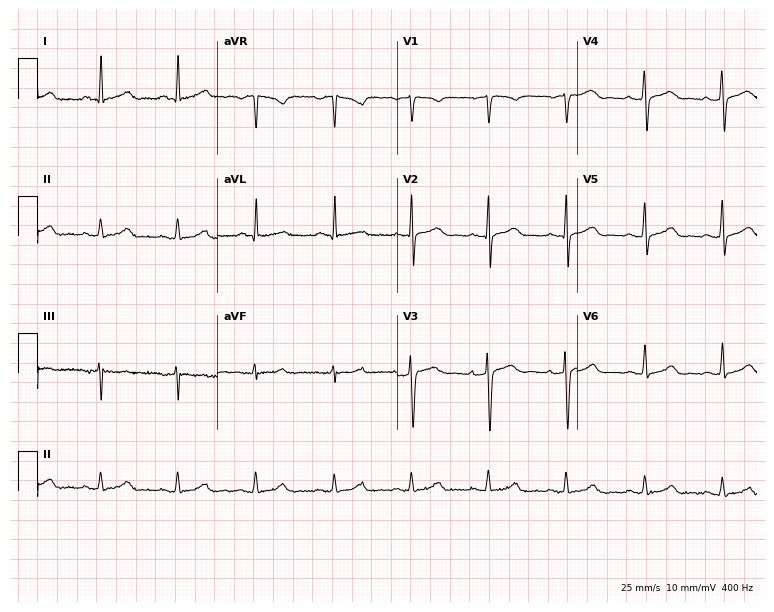
12-lead ECG from a man, 42 years old (7.3-second recording at 400 Hz). Recorded interpretation: within normal limits.